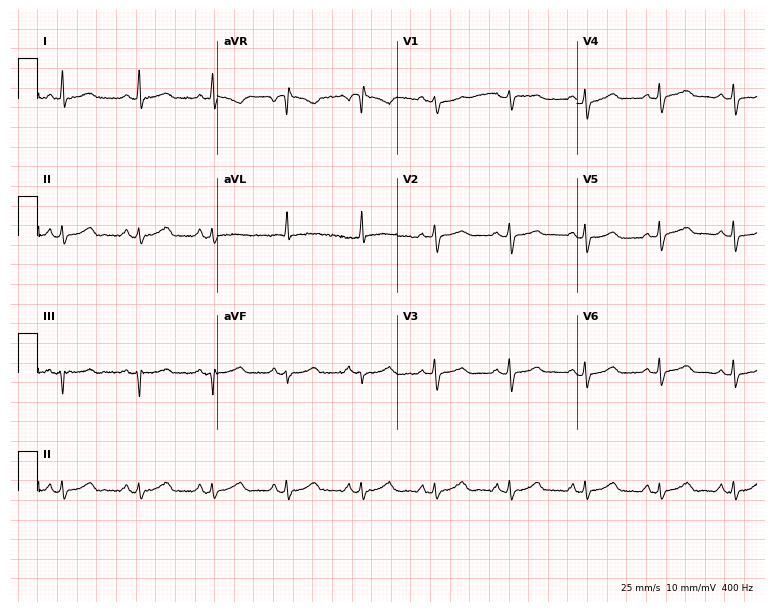
Electrocardiogram (7.3-second recording at 400 Hz), a 67-year-old woman. Of the six screened findings (first-degree AV block, right bundle branch block, left bundle branch block, sinus bradycardia, atrial fibrillation, sinus tachycardia), none is recorded. Only these six findings were labelled.